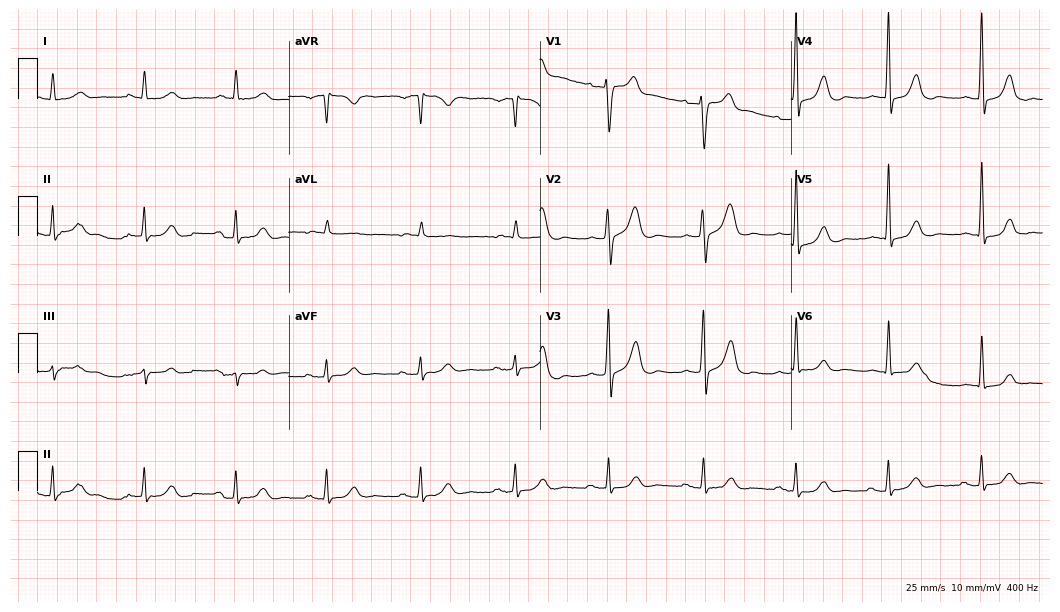
12-lead ECG from a male, 59 years old. Recorded interpretation: within normal limits.